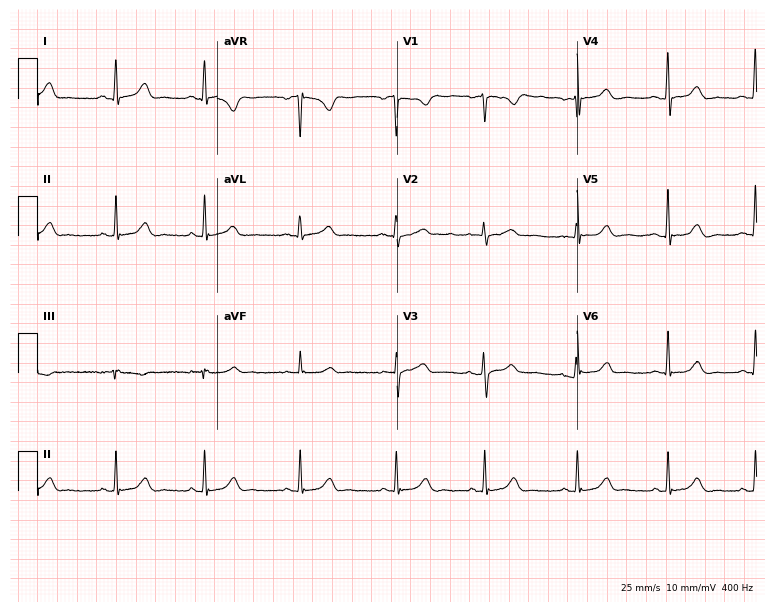
Standard 12-lead ECG recorded from a 41-year-old female patient. Read as a normal ECG.